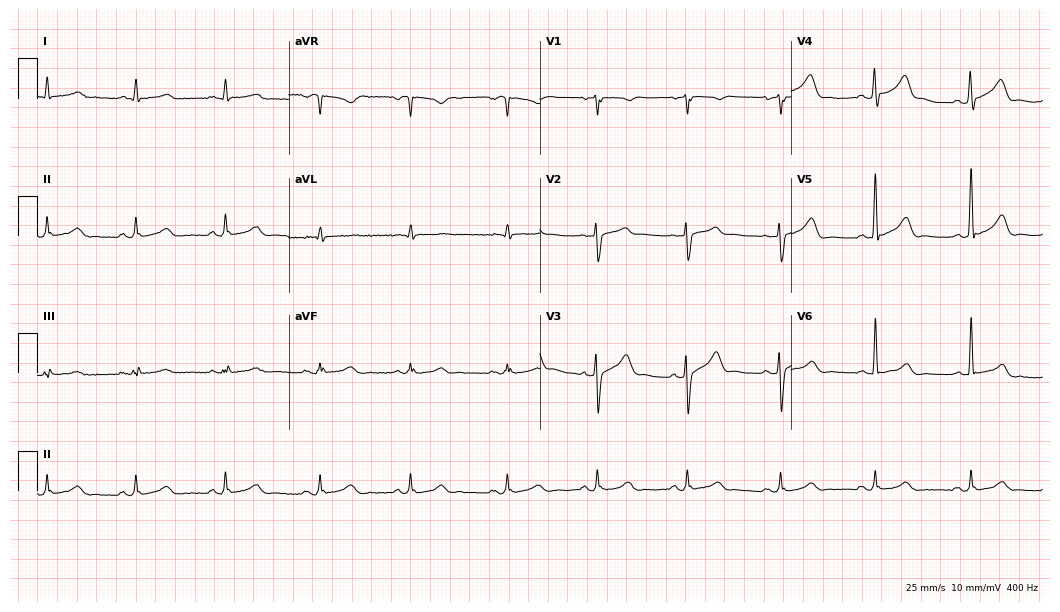
ECG (10.2-second recording at 400 Hz) — a 72-year-old male. Screened for six findings — first-degree AV block, right bundle branch block, left bundle branch block, sinus bradycardia, atrial fibrillation, sinus tachycardia — none is recorded.